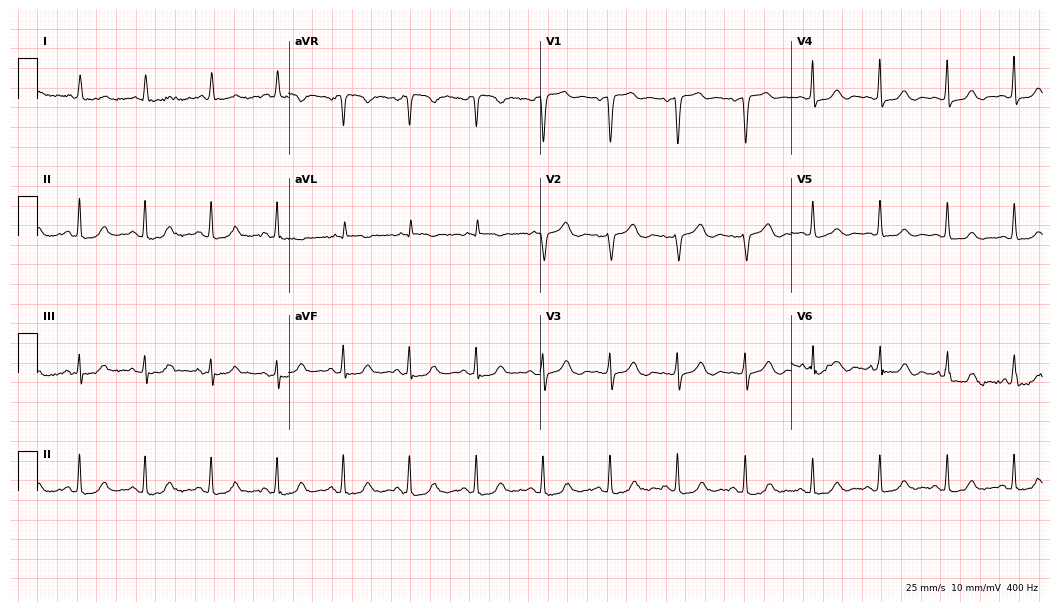
Standard 12-lead ECG recorded from a 77-year-old woman. None of these six findings is recorded: first-degree AV block, right bundle branch block, left bundle branch block, sinus bradycardia, atrial fibrillation, sinus tachycardia. Only these six findings were labelled.